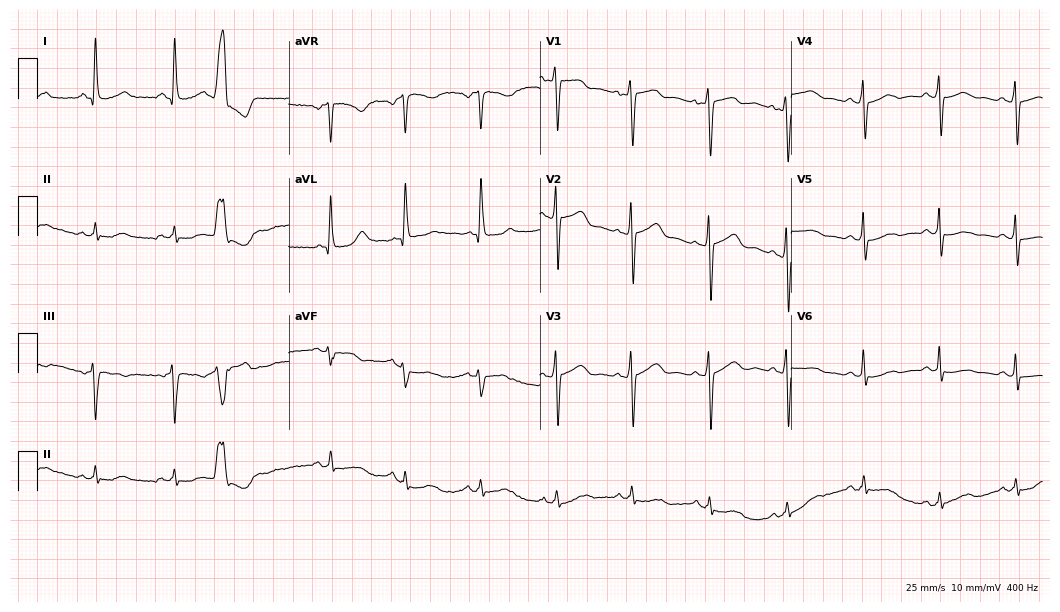
12-lead ECG from a 58-year-old female patient. Screened for six findings — first-degree AV block, right bundle branch block, left bundle branch block, sinus bradycardia, atrial fibrillation, sinus tachycardia — none is recorded.